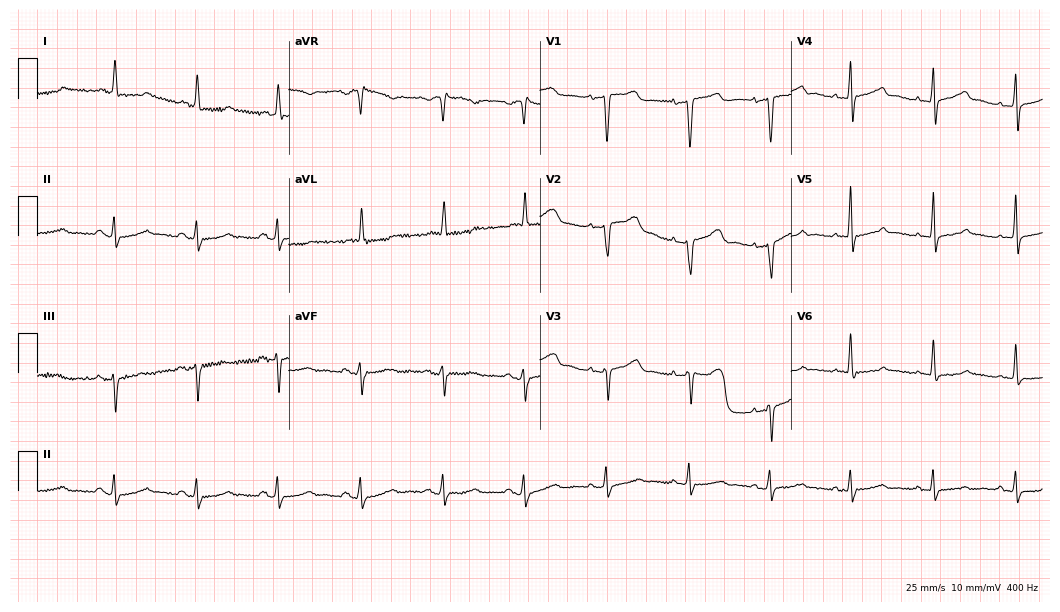
Standard 12-lead ECG recorded from a 74-year-old female (10.2-second recording at 400 Hz). None of these six findings is recorded: first-degree AV block, right bundle branch block, left bundle branch block, sinus bradycardia, atrial fibrillation, sinus tachycardia. Other findings, if any, are not listed.